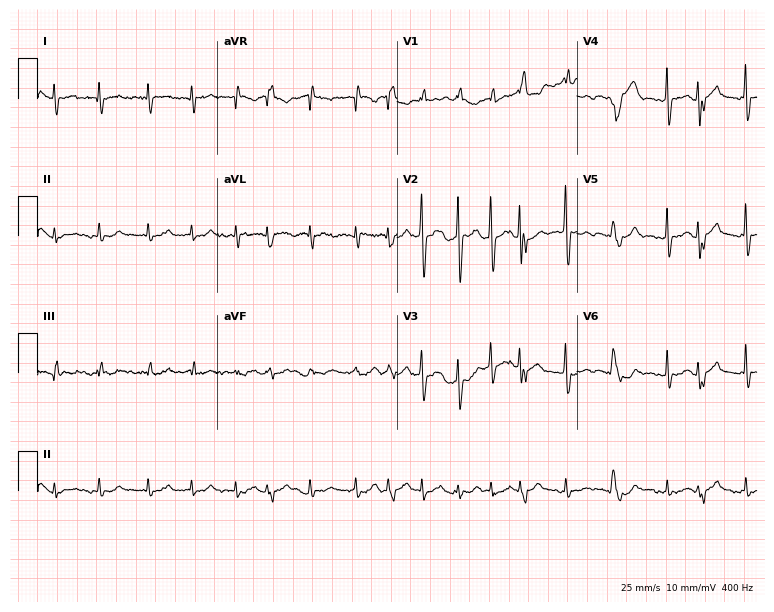
Standard 12-lead ECG recorded from a man, 64 years old (7.3-second recording at 400 Hz). The tracing shows atrial fibrillation.